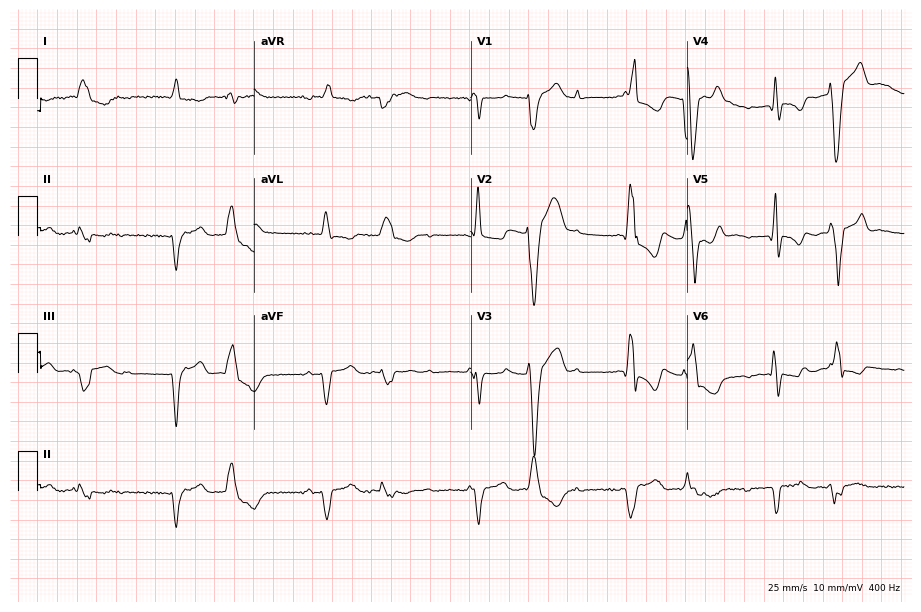
Electrocardiogram, a male, 71 years old. Interpretation includes right bundle branch block.